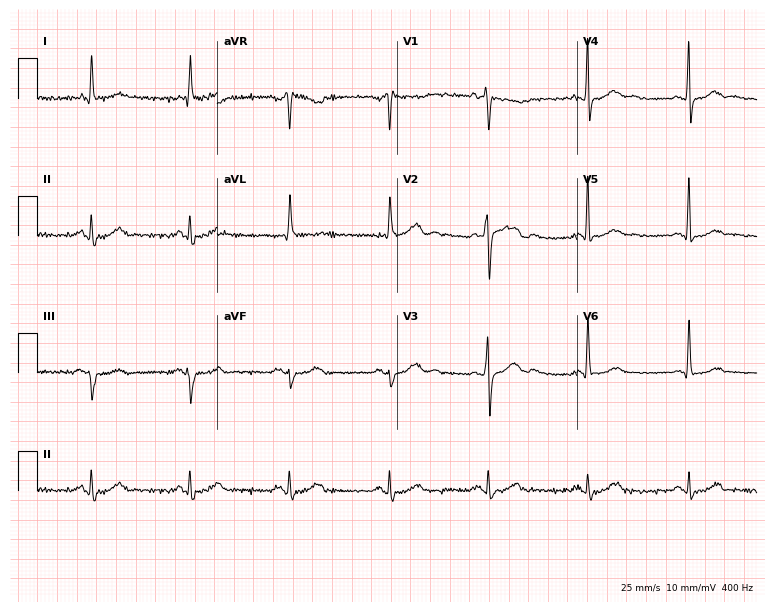
ECG (7.3-second recording at 400 Hz) — a 43-year-old male. Labelled as a normal ECG.